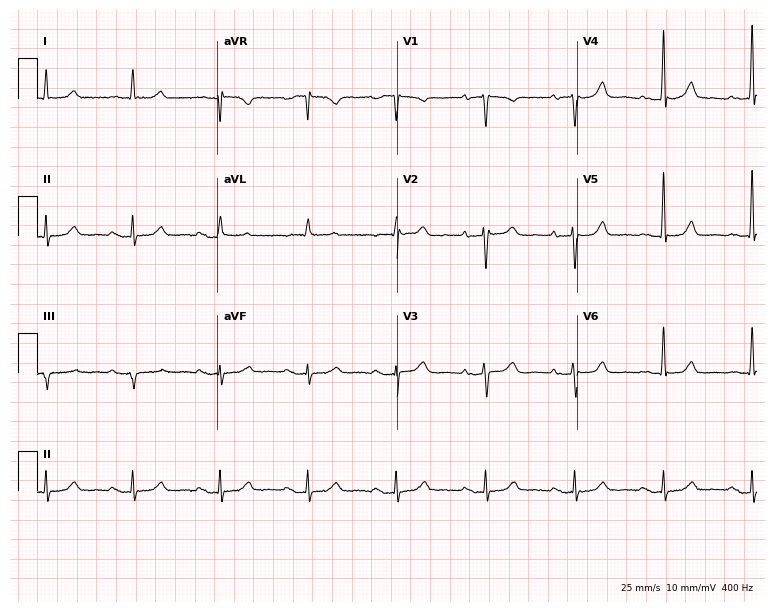
Standard 12-lead ECG recorded from an 83-year-old female patient (7.3-second recording at 400 Hz). None of these six findings is recorded: first-degree AV block, right bundle branch block (RBBB), left bundle branch block (LBBB), sinus bradycardia, atrial fibrillation (AF), sinus tachycardia. Other findings, if any, are not listed.